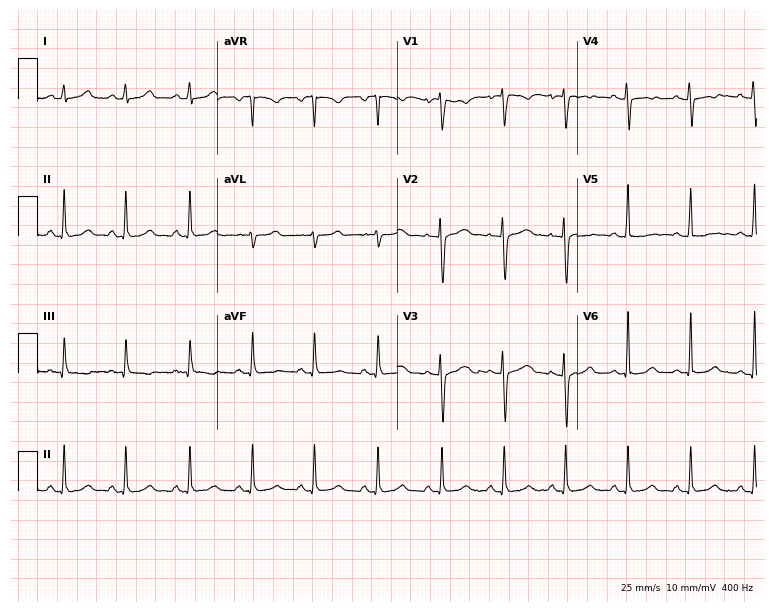
Resting 12-lead electrocardiogram. Patient: a 19-year-old woman. Read as a normal ECG.